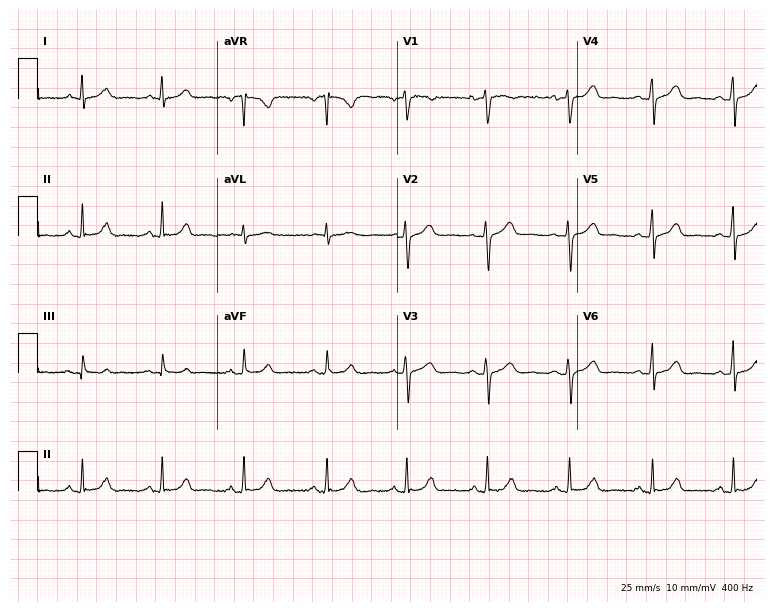
Resting 12-lead electrocardiogram. Patient: a woman, 44 years old. None of these six findings is recorded: first-degree AV block, right bundle branch block (RBBB), left bundle branch block (LBBB), sinus bradycardia, atrial fibrillation (AF), sinus tachycardia. Findings outside these six are not listed.